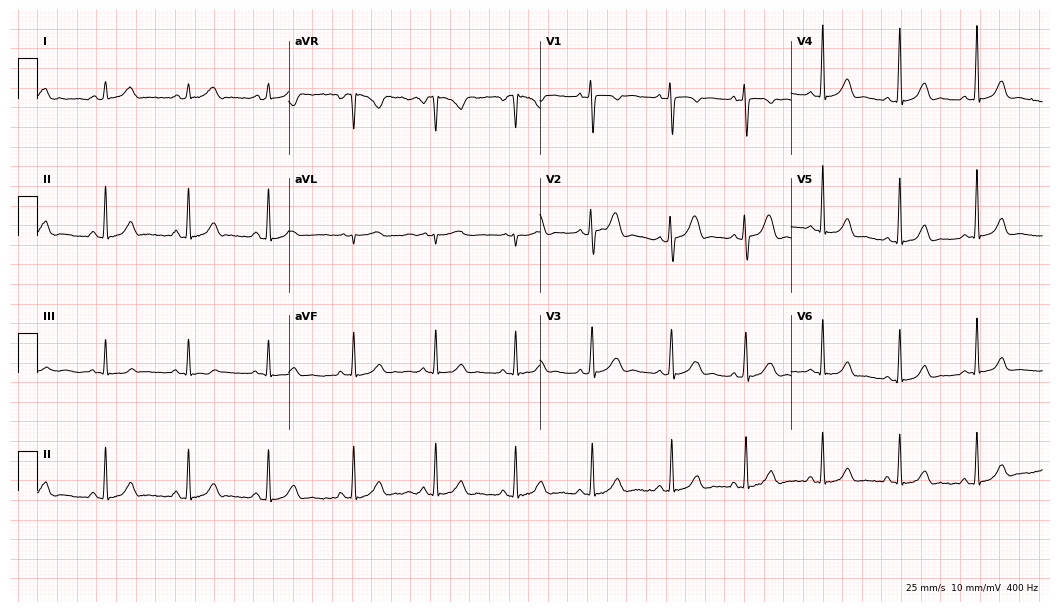
Resting 12-lead electrocardiogram (10.2-second recording at 400 Hz). Patient: a woman, 17 years old. None of these six findings is recorded: first-degree AV block, right bundle branch block, left bundle branch block, sinus bradycardia, atrial fibrillation, sinus tachycardia.